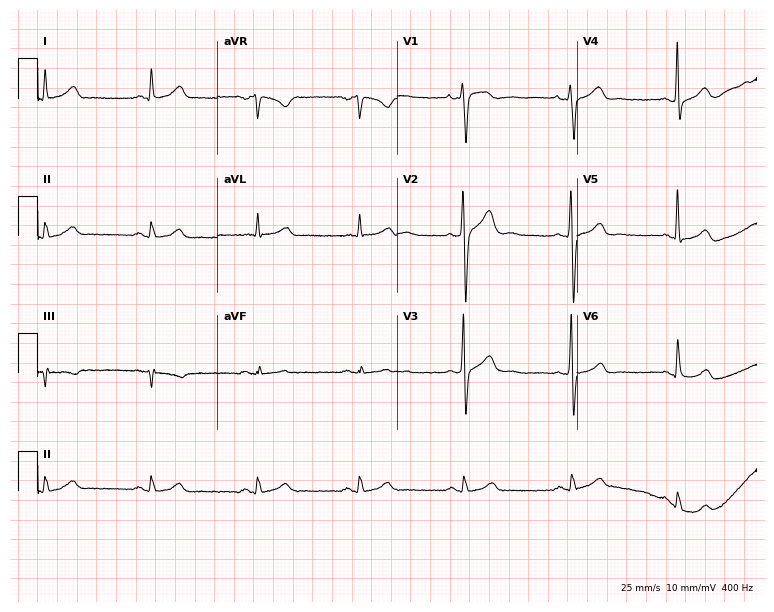
ECG — a man, 30 years old. Labelled as a normal ECG.